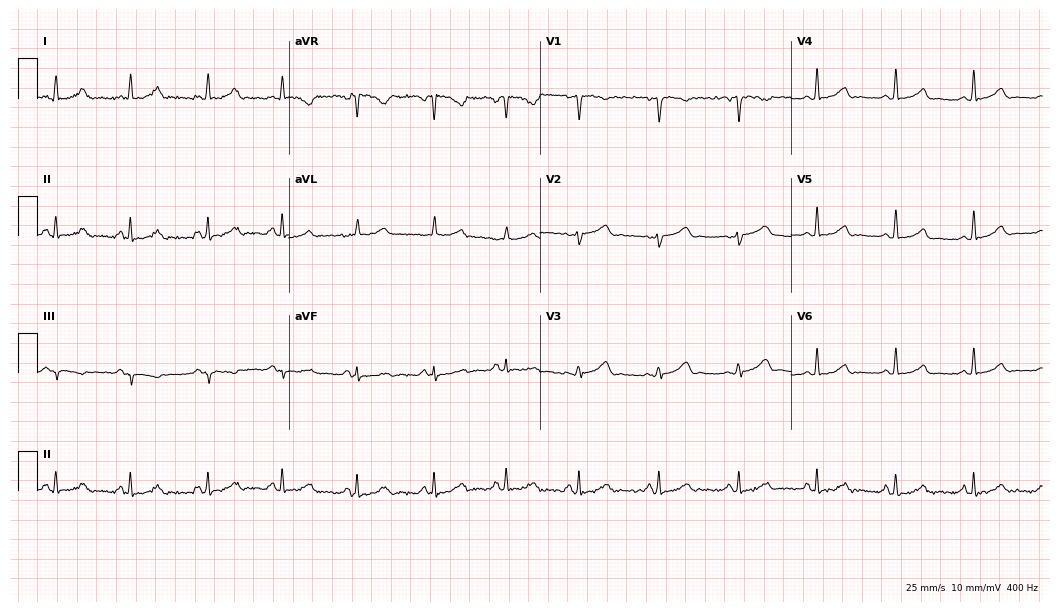
Resting 12-lead electrocardiogram (10.2-second recording at 400 Hz). Patient: a female, 25 years old. Read as a normal ECG.